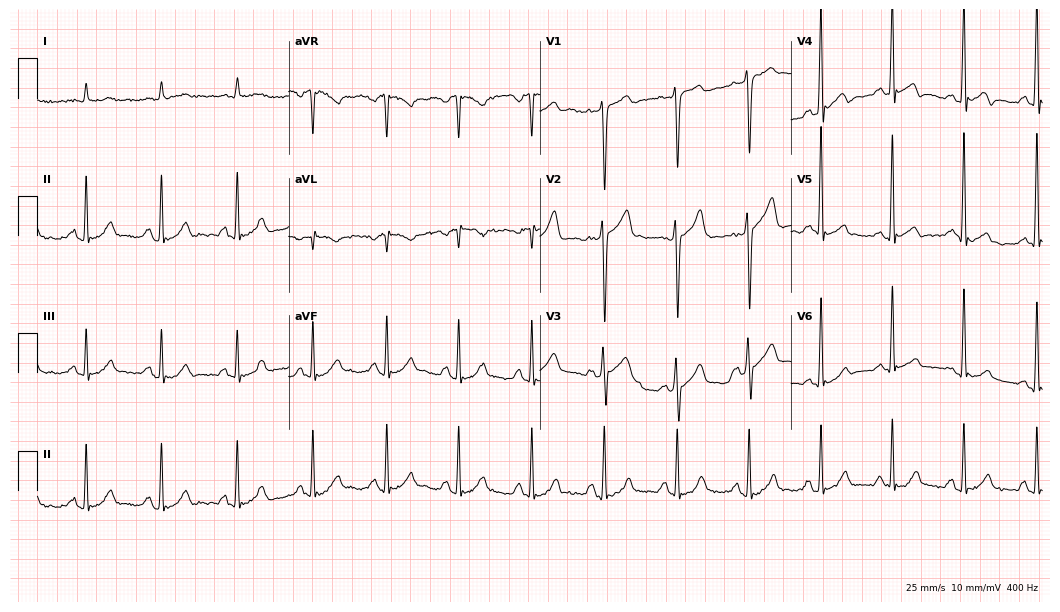
Standard 12-lead ECG recorded from a male patient, 57 years old (10.2-second recording at 400 Hz). Read as a normal ECG.